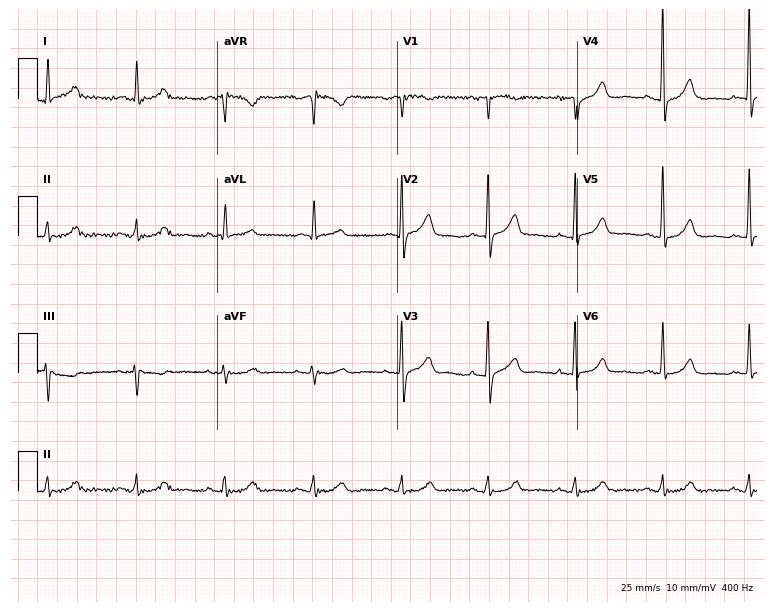
ECG (7.3-second recording at 400 Hz) — a male patient, 80 years old. Screened for six findings — first-degree AV block, right bundle branch block, left bundle branch block, sinus bradycardia, atrial fibrillation, sinus tachycardia — none is recorded. Other findings, if any, are not listed.